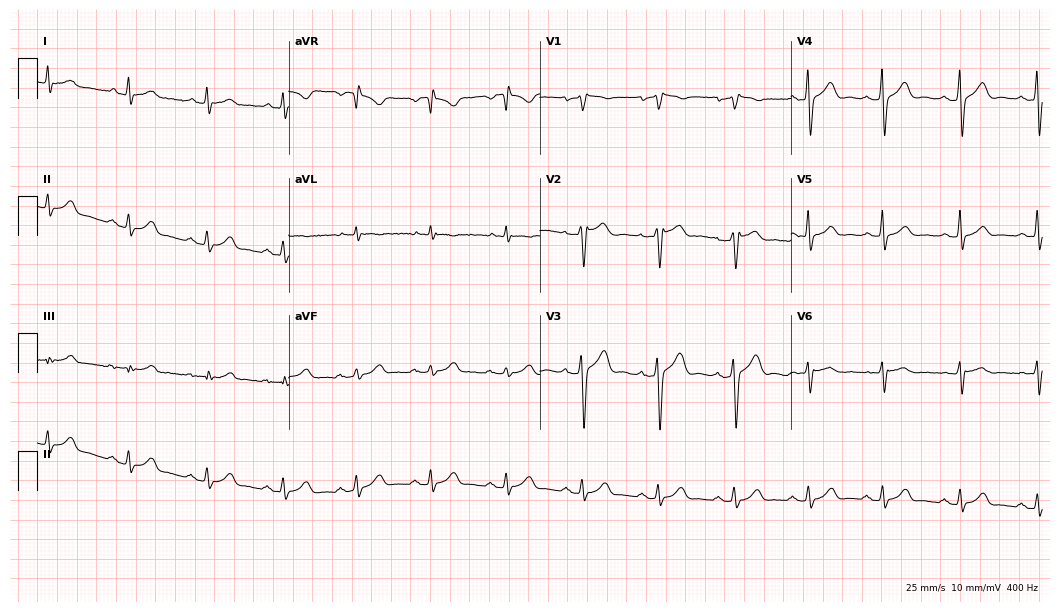
Standard 12-lead ECG recorded from a man, 50 years old (10.2-second recording at 400 Hz). None of these six findings is recorded: first-degree AV block, right bundle branch block, left bundle branch block, sinus bradycardia, atrial fibrillation, sinus tachycardia. Findings outside these six are not listed.